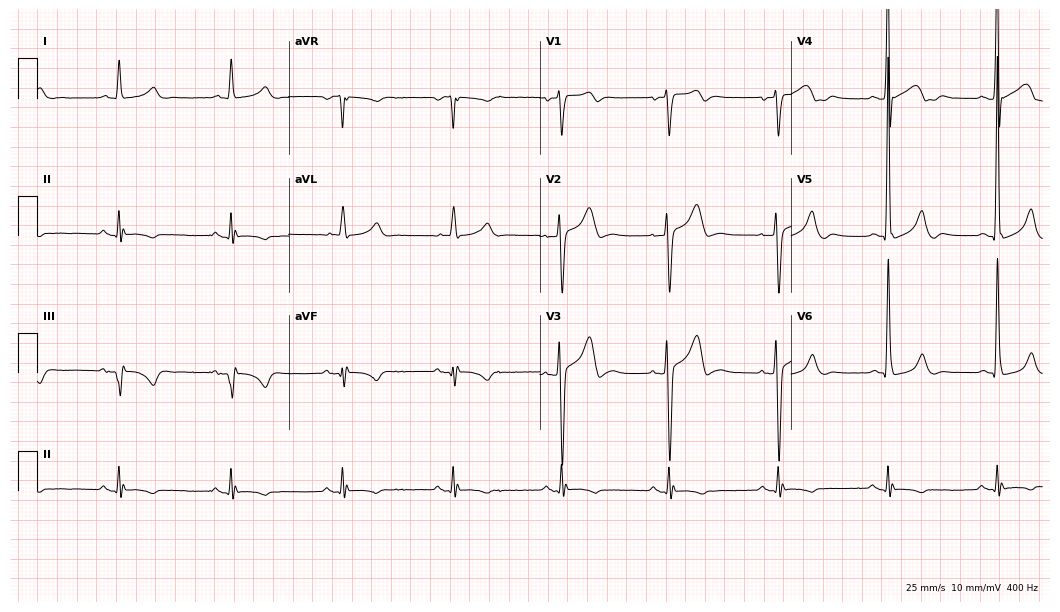
Resting 12-lead electrocardiogram. Patient: a 78-year-old male. None of these six findings is recorded: first-degree AV block, right bundle branch block, left bundle branch block, sinus bradycardia, atrial fibrillation, sinus tachycardia.